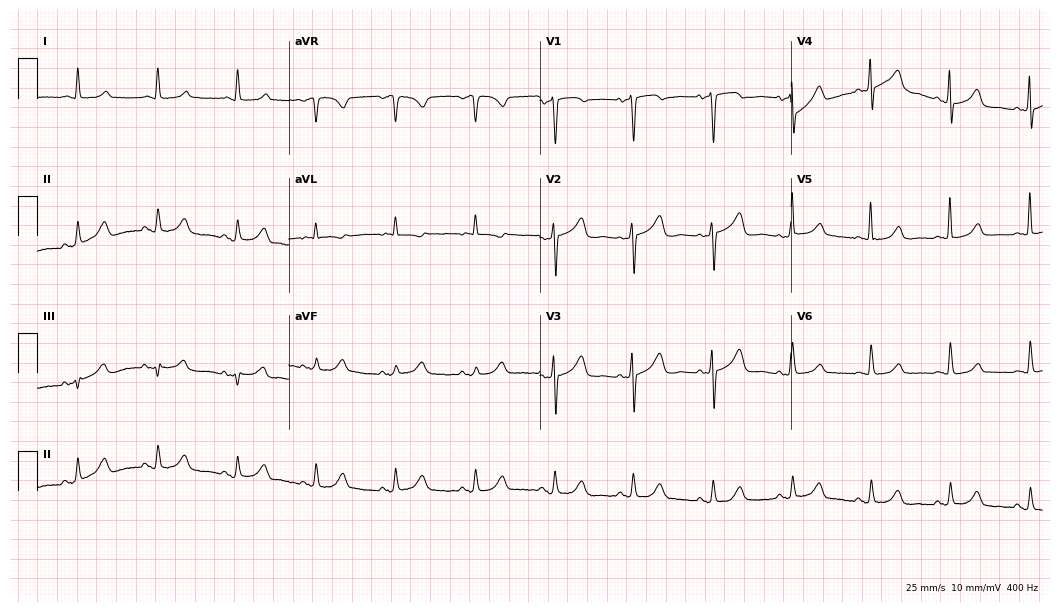
ECG — a 71-year-old female patient. Screened for six findings — first-degree AV block, right bundle branch block (RBBB), left bundle branch block (LBBB), sinus bradycardia, atrial fibrillation (AF), sinus tachycardia — none is recorded.